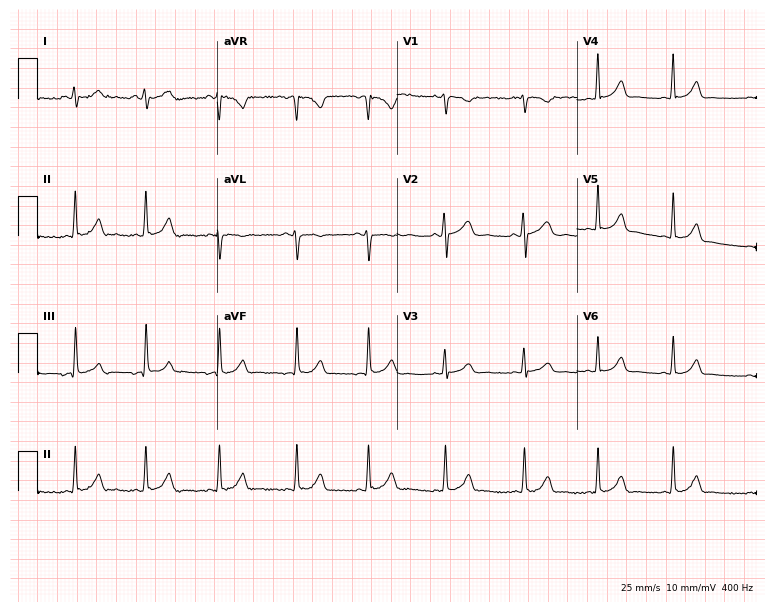
12-lead ECG from a female, 22 years old. No first-degree AV block, right bundle branch block (RBBB), left bundle branch block (LBBB), sinus bradycardia, atrial fibrillation (AF) or sinus tachycardia recorded for this tracing. Findings outside these six are not listed.